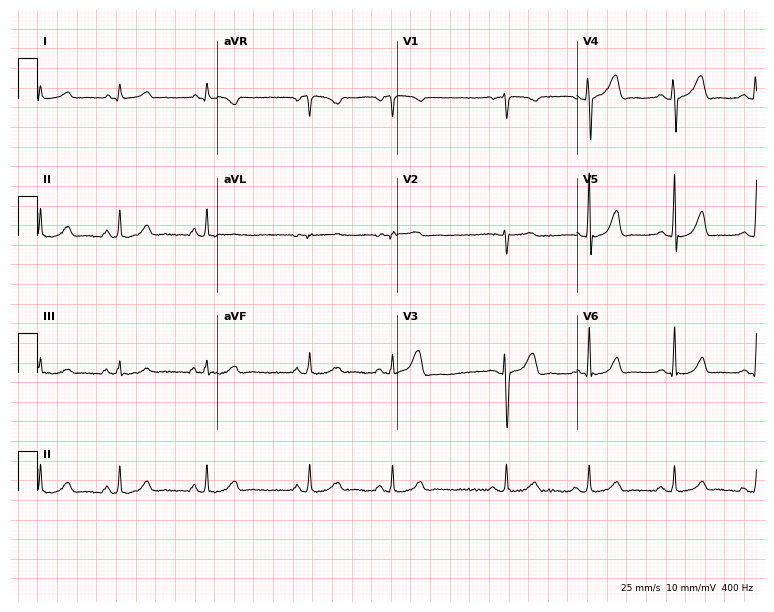
ECG — a female patient, 21 years old. Labelled as a normal ECG.